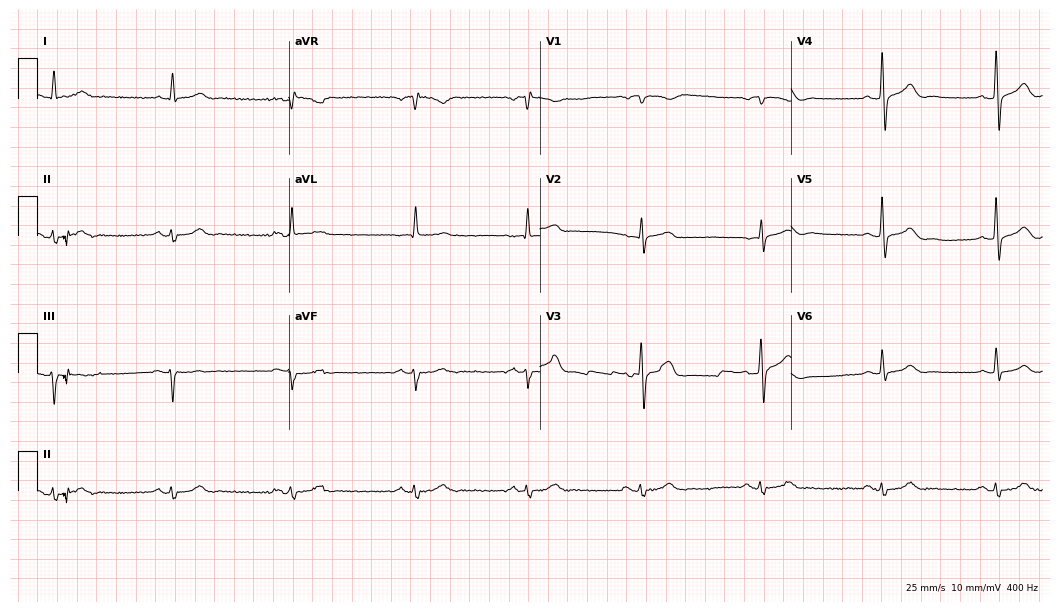
Resting 12-lead electrocardiogram (10.2-second recording at 400 Hz). Patient: a man, 77 years old. Read as a normal ECG.